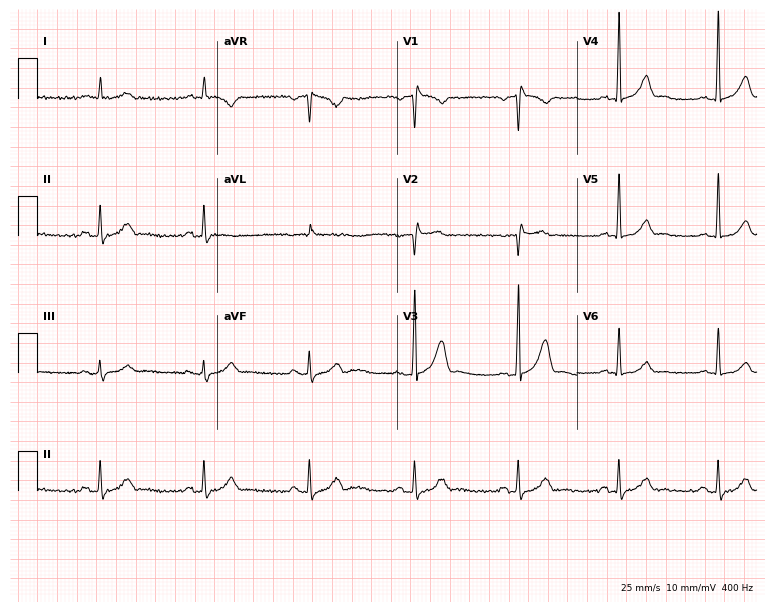
12-lead ECG from a 45-year-old man. No first-degree AV block, right bundle branch block, left bundle branch block, sinus bradycardia, atrial fibrillation or sinus tachycardia recorded for this tracing.